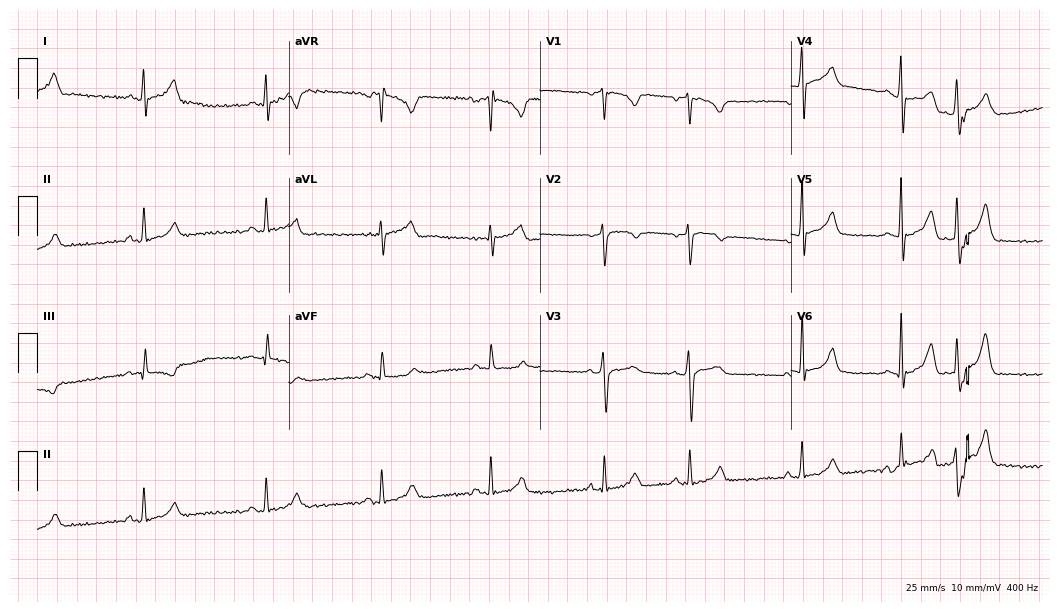
12-lead ECG (10.2-second recording at 400 Hz) from a 24-year-old male. Screened for six findings — first-degree AV block, right bundle branch block, left bundle branch block, sinus bradycardia, atrial fibrillation, sinus tachycardia — none is recorded.